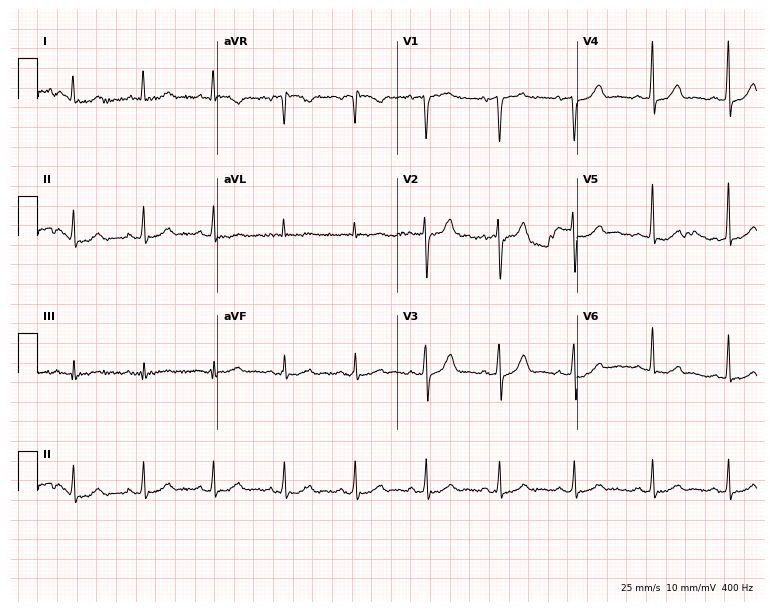
Standard 12-lead ECG recorded from a 67-year-old male patient. Read as a normal ECG.